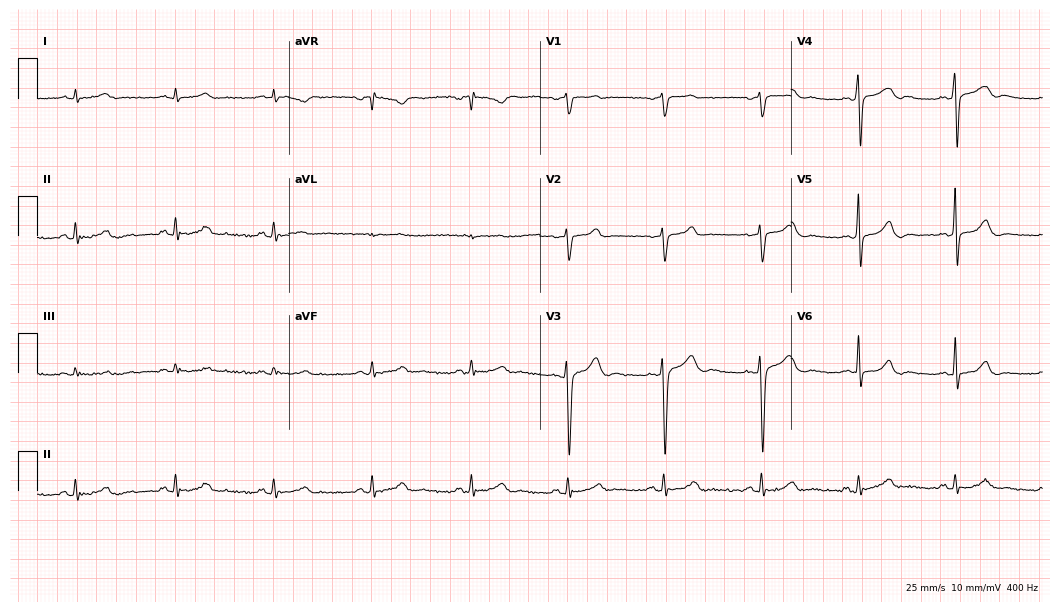
Resting 12-lead electrocardiogram. Patient: a 50-year-old male. None of these six findings is recorded: first-degree AV block, right bundle branch block (RBBB), left bundle branch block (LBBB), sinus bradycardia, atrial fibrillation (AF), sinus tachycardia.